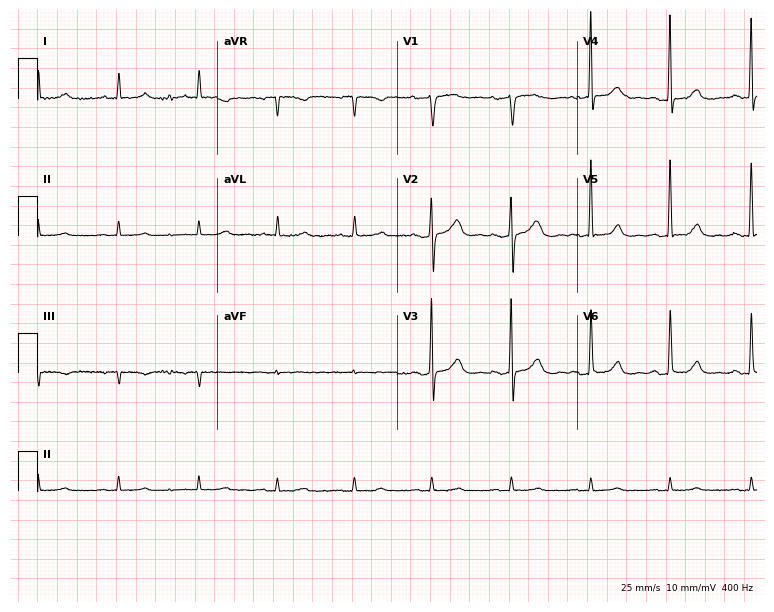
Standard 12-lead ECG recorded from a 63-year-old female. Read as a normal ECG.